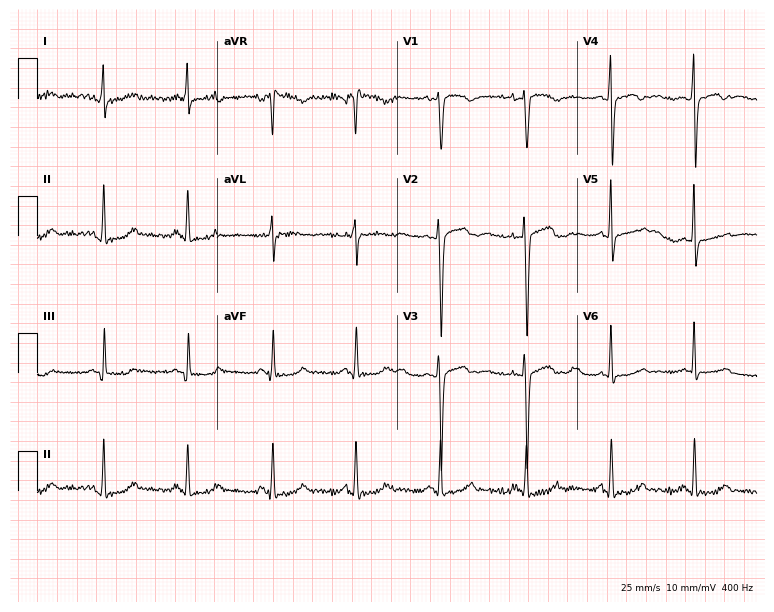
12-lead ECG from a 46-year-old woman. Screened for six findings — first-degree AV block, right bundle branch block (RBBB), left bundle branch block (LBBB), sinus bradycardia, atrial fibrillation (AF), sinus tachycardia — none is recorded.